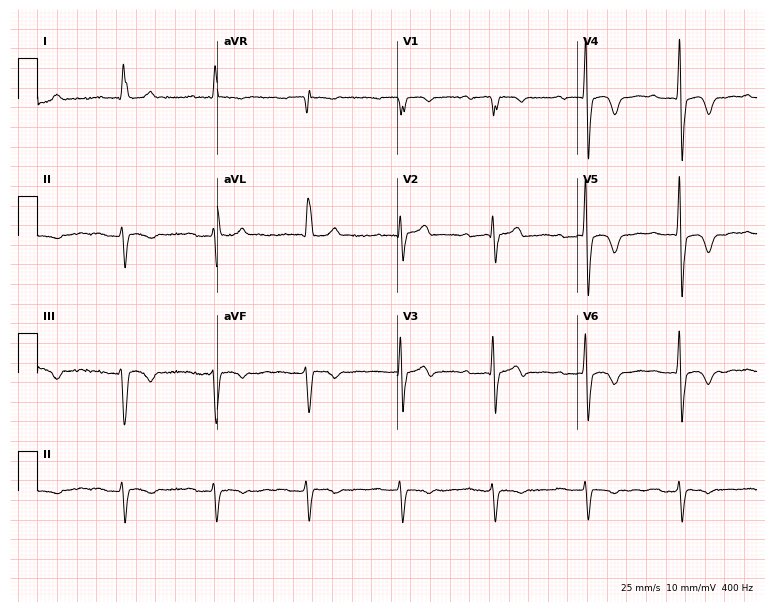
12-lead ECG from an 84-year-old male. Shows first-degree AV block.